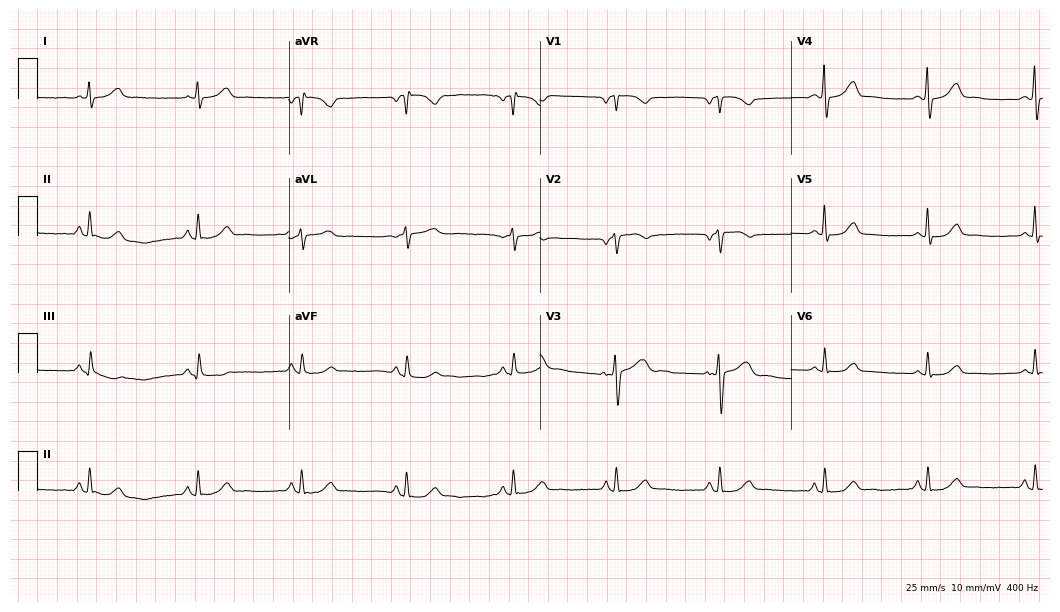
Resting 12-lead electrocardiogram. Patient: a 49-year-old female. Read as a normal ECG.